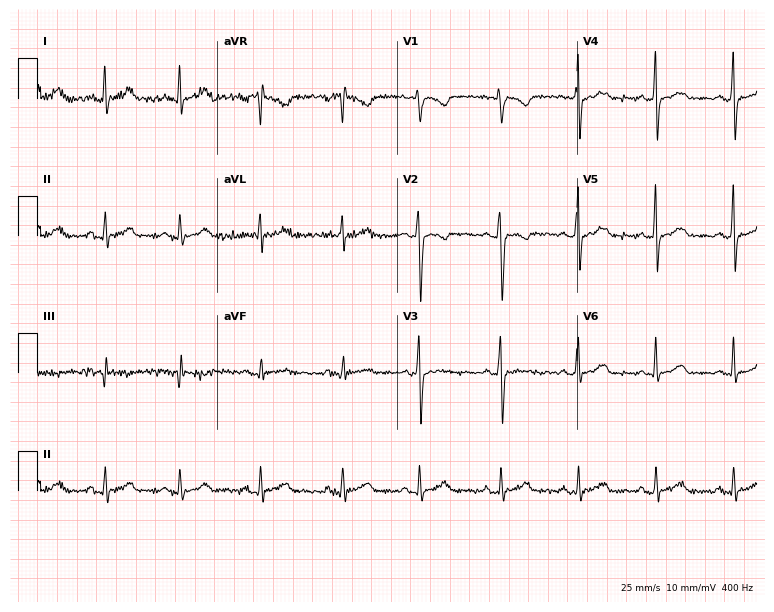
12-lead ECG from a 35-year-old woman. Labelled as a normal ECG.